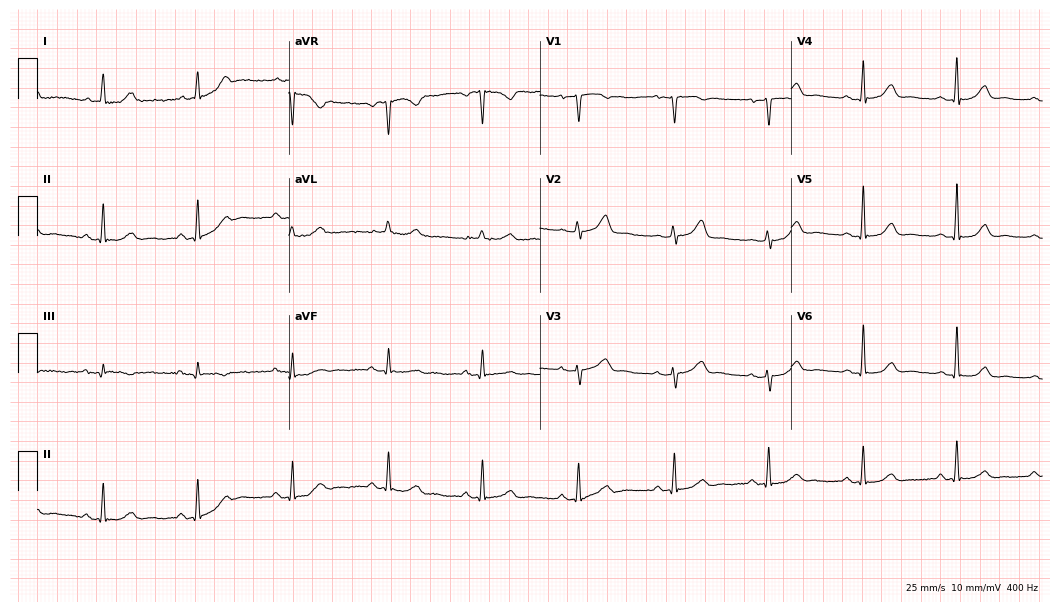
12-lead ECG from a woman, 54 years old. Recorded interpretation: within normal limits.